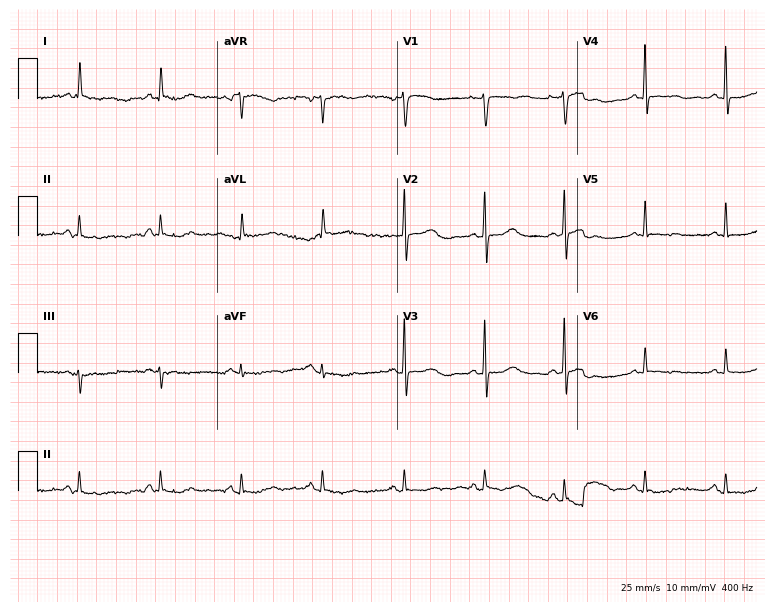
Standard 12-lead ECG recorded from an 83-year-old female. None of these six findings is recorded: first-degree AV block, right bundle branch block, left bundle branch block, sinus bradycardia, atrial fibrillation, sinus tachycardia. Only these six findings were labelled.